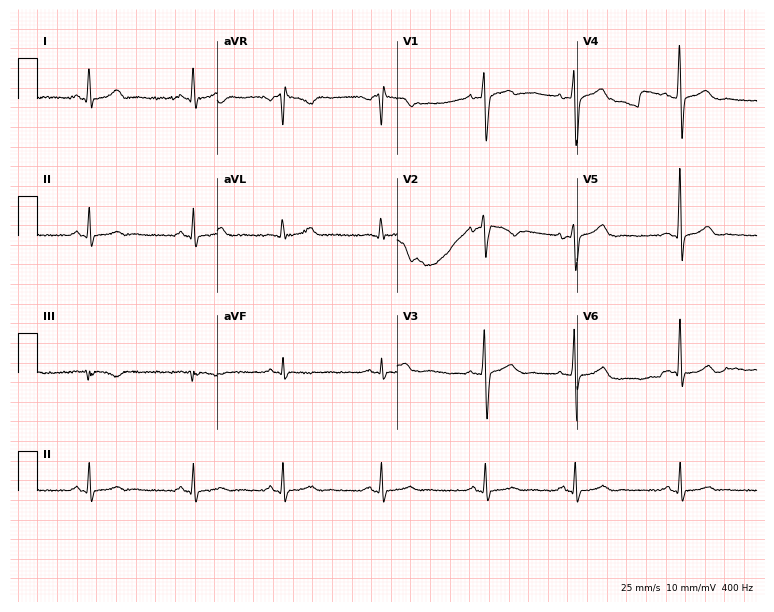
Standard 12-lead ECG recorded from a female, 31 years old. Read as a normal ECG.